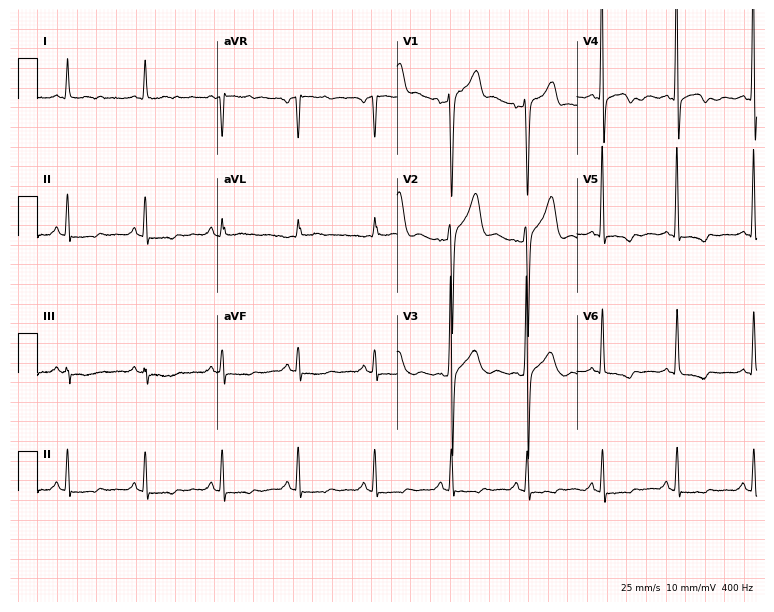
Standard 12-lead ECG recorded from a 76-year-old male patient. None of these six findings is recorded: first-degree AV block, right bundle branch block, left bundle branch block, sinus bradycardia, atrial fibrillation, sinus tachycardia. Only these six findings were labelled.